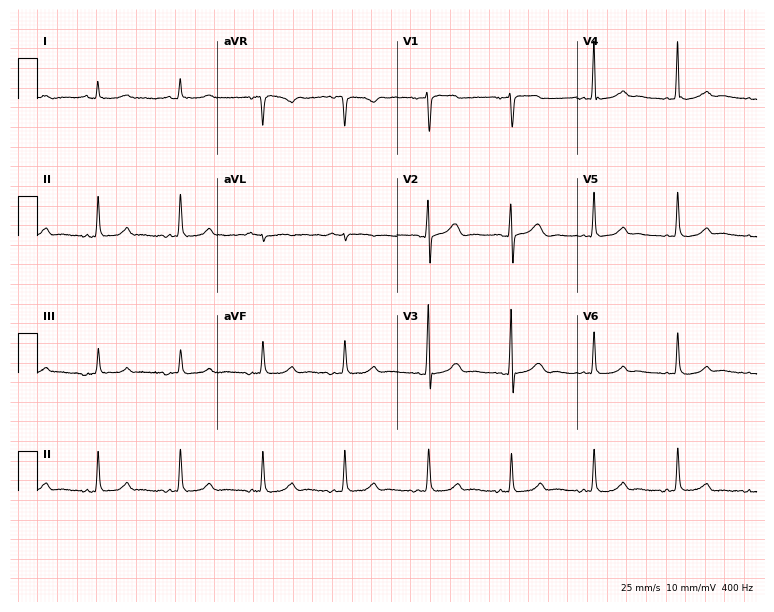
Standard 12-lead ECG recorded from a woman, 57 years old. None of these six findings is recorded: first-degree AV block, right bundle branch block (RBBB), left bundle branch block (LBBB), sinus bradycardia, atrial fibrillation (AF), sinus tachycardia.